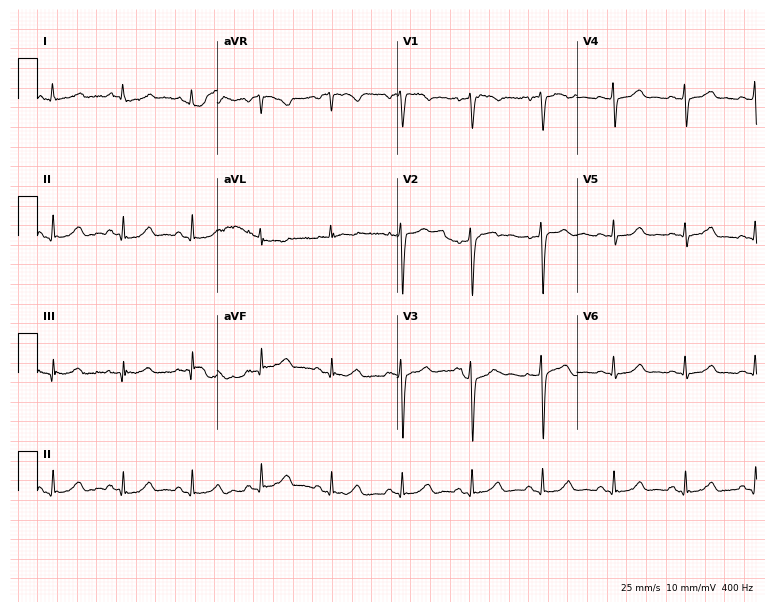
12-lead ECG from a woman, 52 years old (7.3-second recording at 400 Hz). Recorded interpretation: within normal limits.